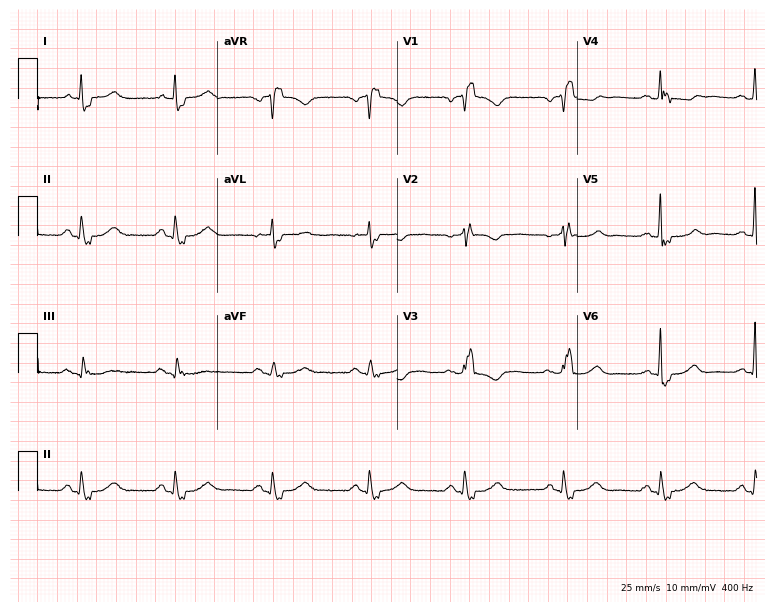
ECG — a 75-year-old female patient. Findings include right bundle branch block (RBBB).